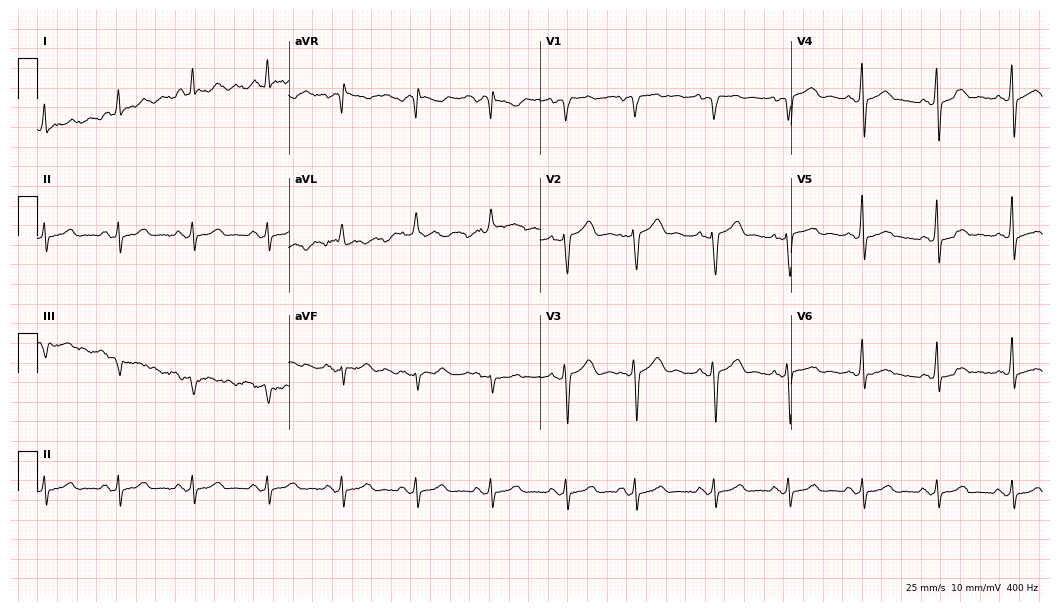
Standard 12-lead ECG recorded from a 73-year-old woman. None of these six findings is recorded: first-degree AV block, right bundle branch block, left bundle branch block, sinus bradycardia, atrial fibrillation, sinus tachycardia.